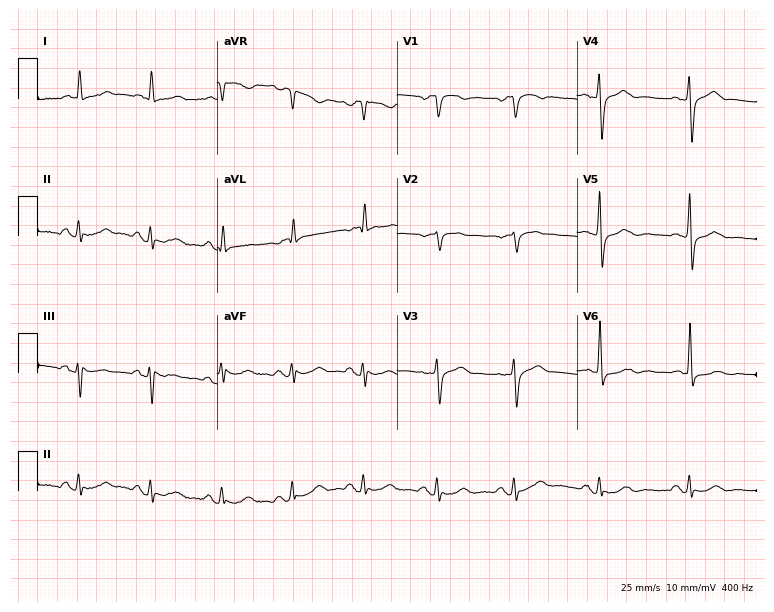
Resting 12-lead electrocardiogram (7.3-second recording at 400 Hz). Patient: a 72-year-old man. None of these six findings is recorded: first-degree AV block, right bundle branch block, left bundle branch block, sinus bradycardia, atrial fibrillation, sinus tachycardia. Only these six findings were labelled.